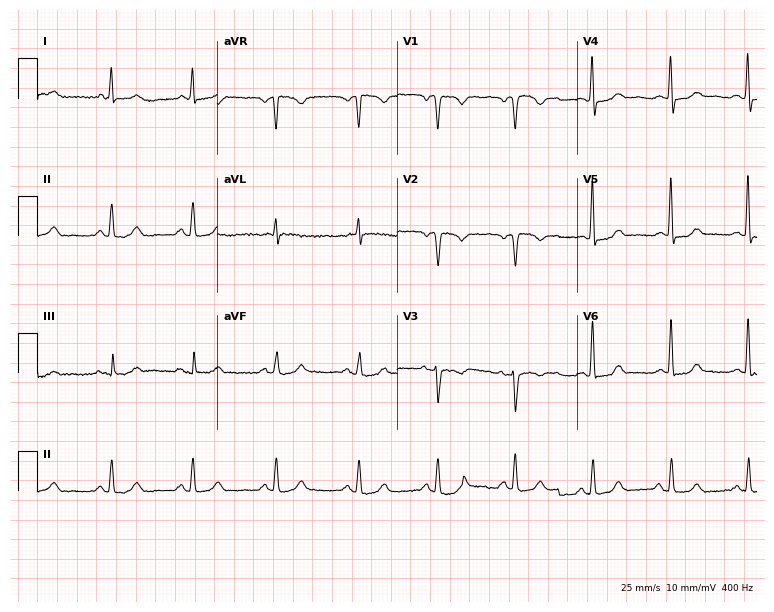
12-lead ECG from a 61-year-old woman. No first-degree AV block, right bundle branch block, left bundle branch block, sinus bradycardia, atrial fibrillation or sinus tachycardia recorded for this tracing.